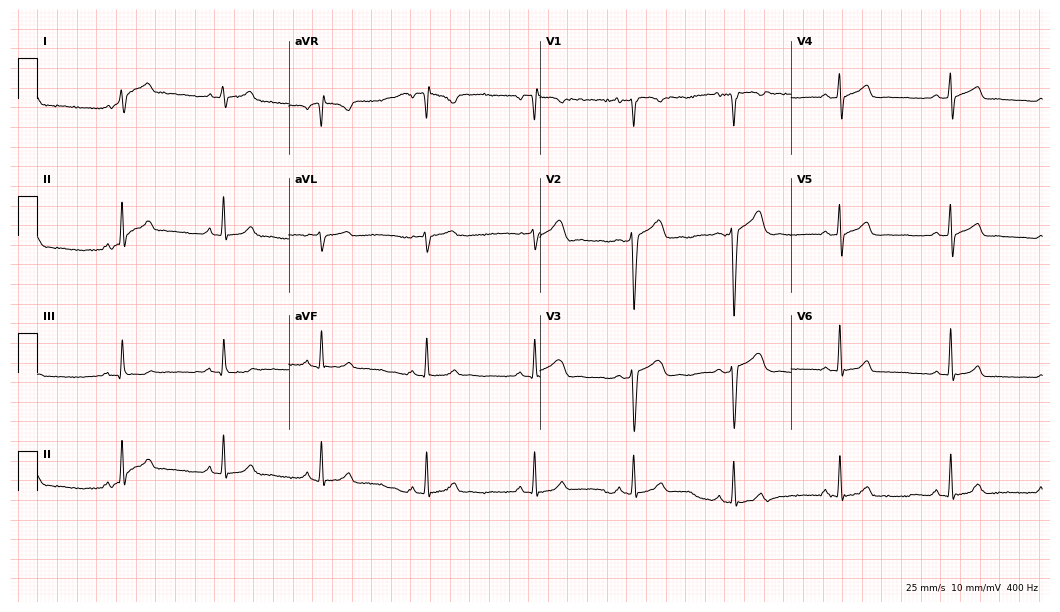
12-lead ECG from a 24-year-old male. Labelled as a normal ECG.